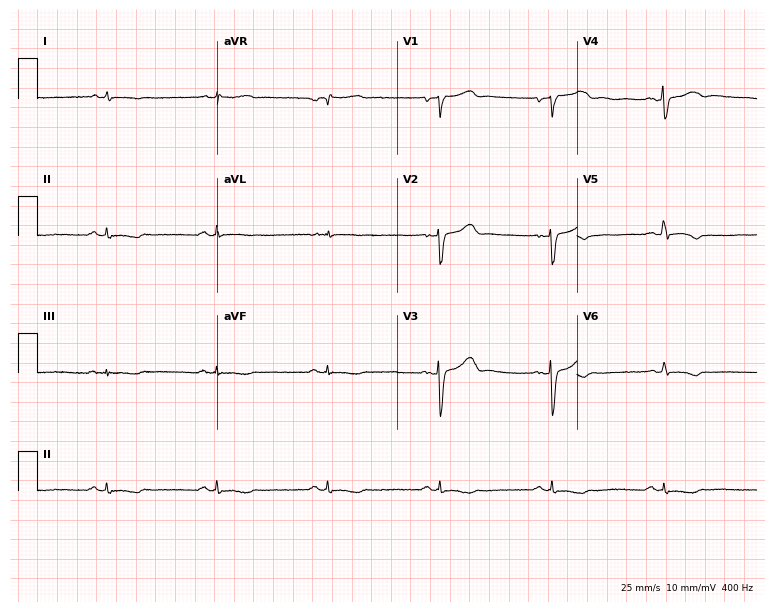
Resting 12-lead electrocardiogram. Patient: a man, 53 years old. None of these six findings is recorded: first-degree AV block, right bundle branch block (RBBB), left bundle branch block (LBBB), sinus bradycardia, atrial fibrillation (AF), sinus tachycardia. Findings outside these six are not listed.